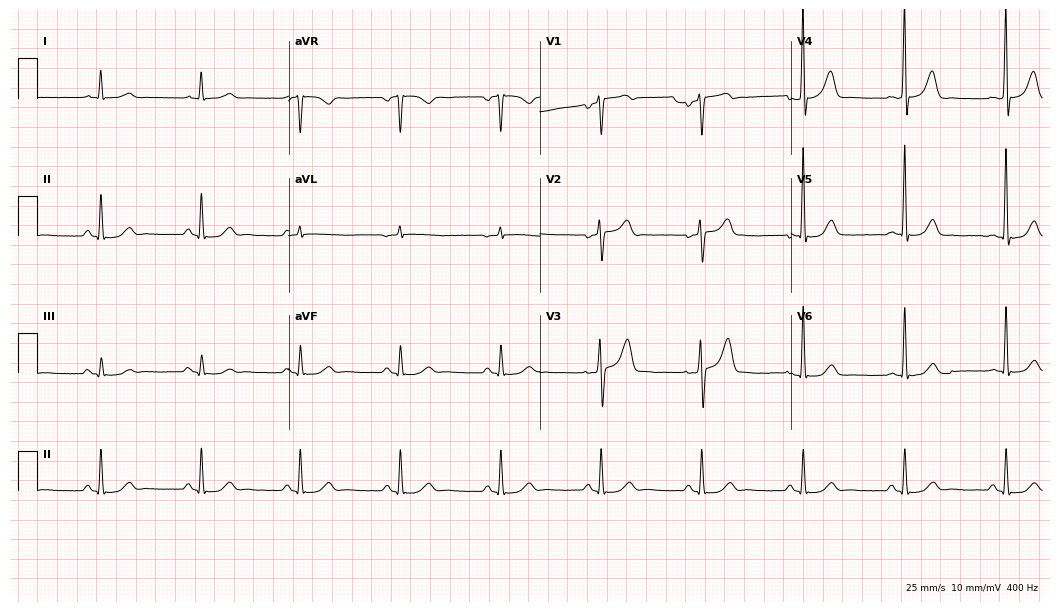
Standard 12-lead ECG recorded from a 76-year-old man (10.2-second recording at 400 Hz). Read as a normal ECG.